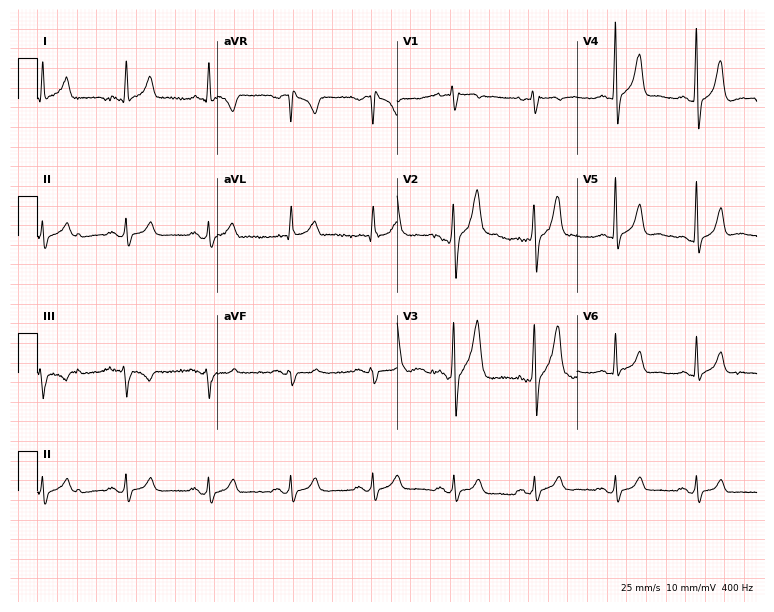
12-lead ECG from a 56-year-old male patient. No first-degree AV block, right bundle branch block (RBBB), left bundle branch block (LBBB), sinus bradycardia, atrial fibrillation (AF) or sinus tachycardia recorded for this tracing. Findings outside these six are not listed.